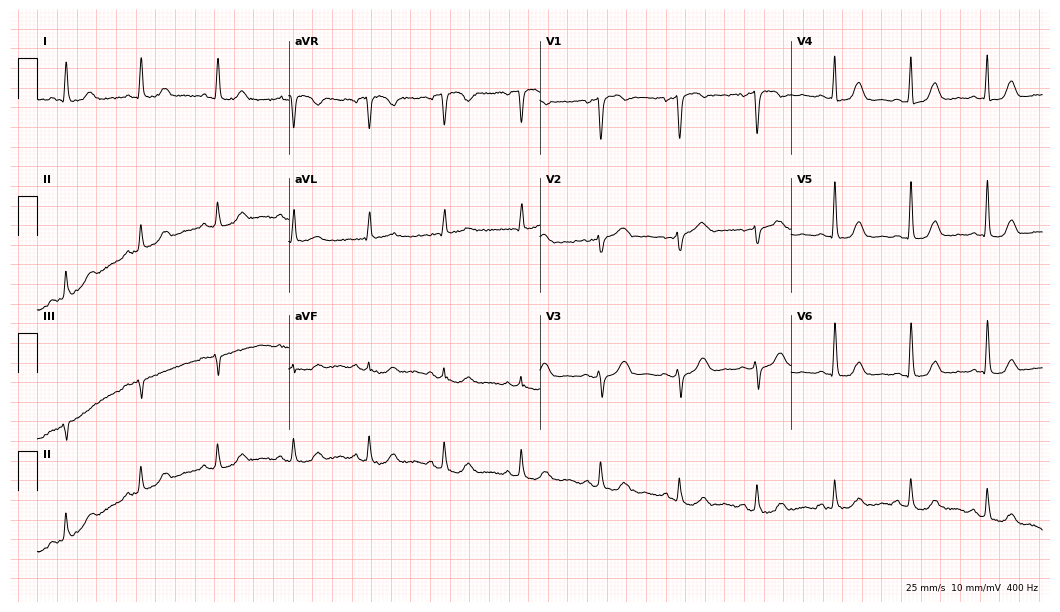
Resting 12-lead electrocardiogram. Patient: a 73-year-old female. Read as a normal ECG.